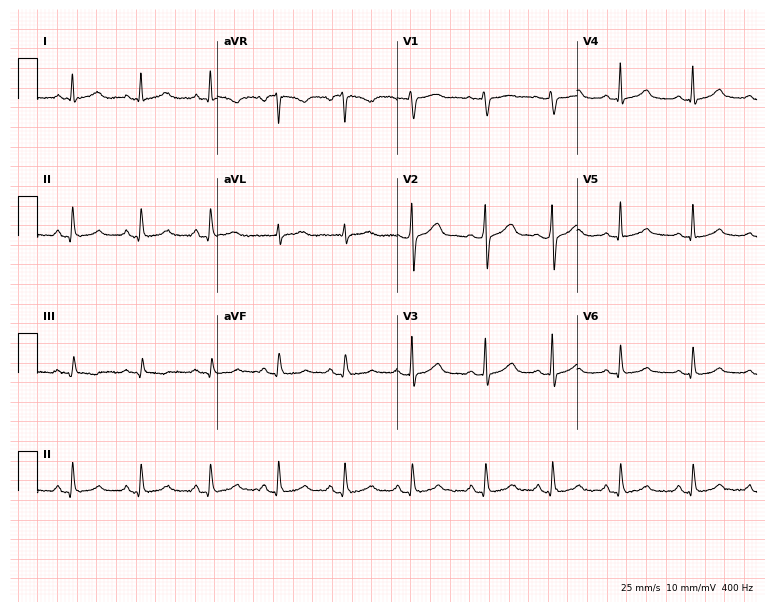
Standard 12-lead ECG recorded from a woman, 39 years old (7.3-second recording at 400 Hz). Read as a normal ECG.